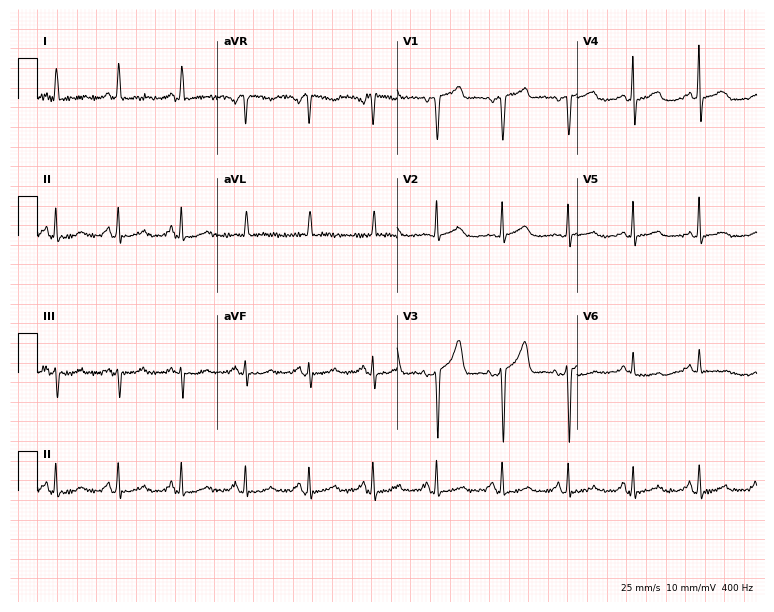
12-lead ECG (7.3-second recording at 400 Hz) from a 66-year-old woman. Screened for six findings — first-degree AV block, right bundle branch block, left bundle branch block, sinus bradycardia, atrial fibrillation, sinus tachycardia — none is recorded.